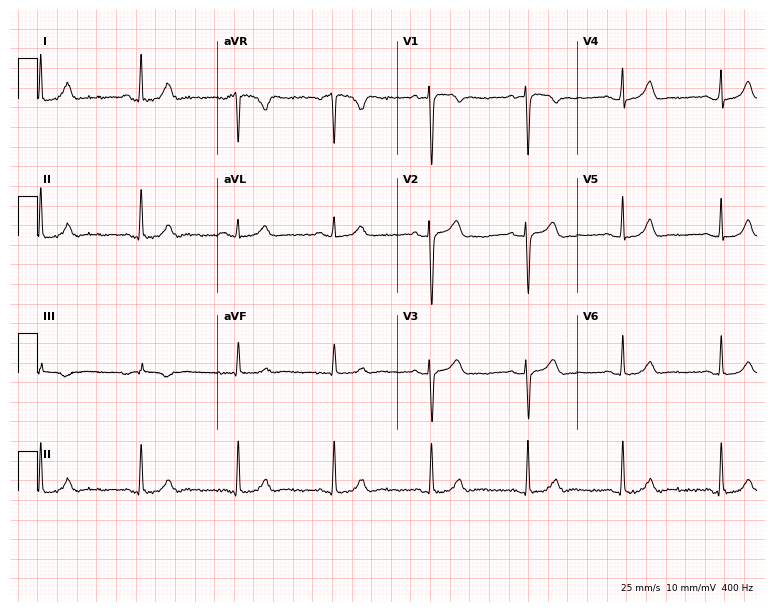
12-lead ECG from a female, 35 years old (7.3-second recording at 400 Hz). Recorded interpretation: within normal limits.